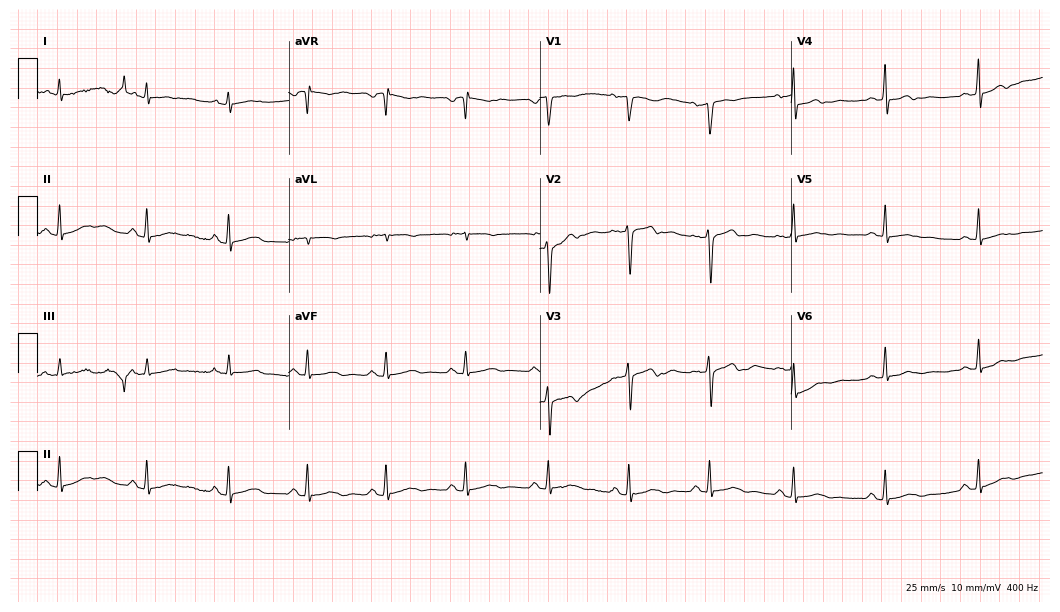
ECG — a woman, 50 years old. Screened for six findings — first-degree AV block, right bundle branch block, left bundle branch block, sinus bradycardia, atrial fibrillation, sinus tachycardia — none is recorded.